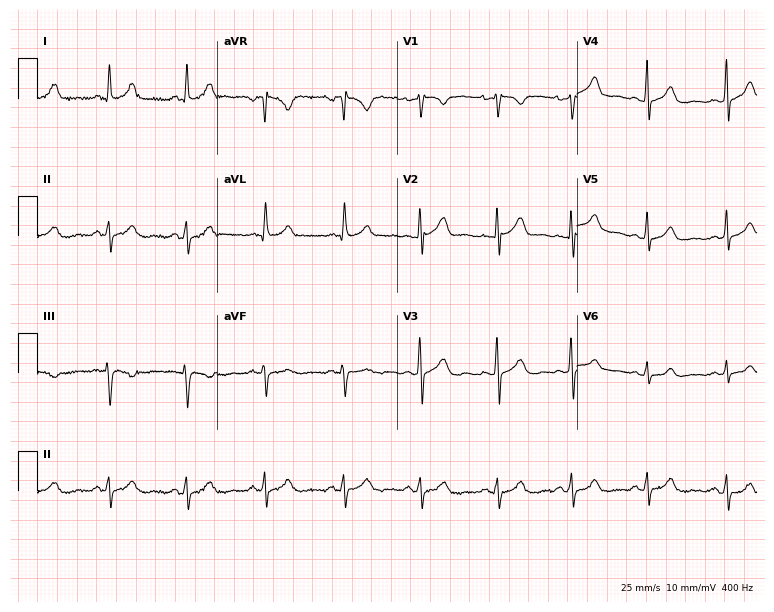
Resting 12-lead electrocardiogram. Patient: a female, 36 years old. Read as a normal ECG.